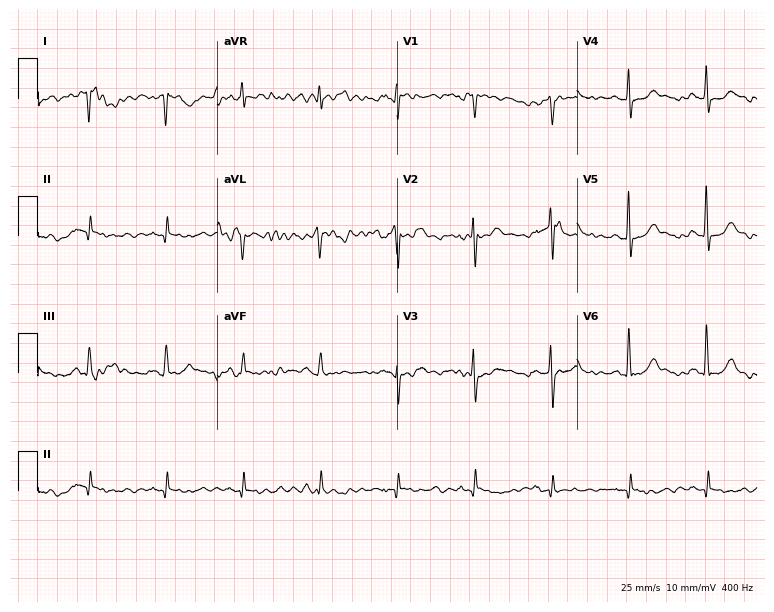
12-lead ECG from a 64-year-old man. Recorded interpretation: within normal limits.